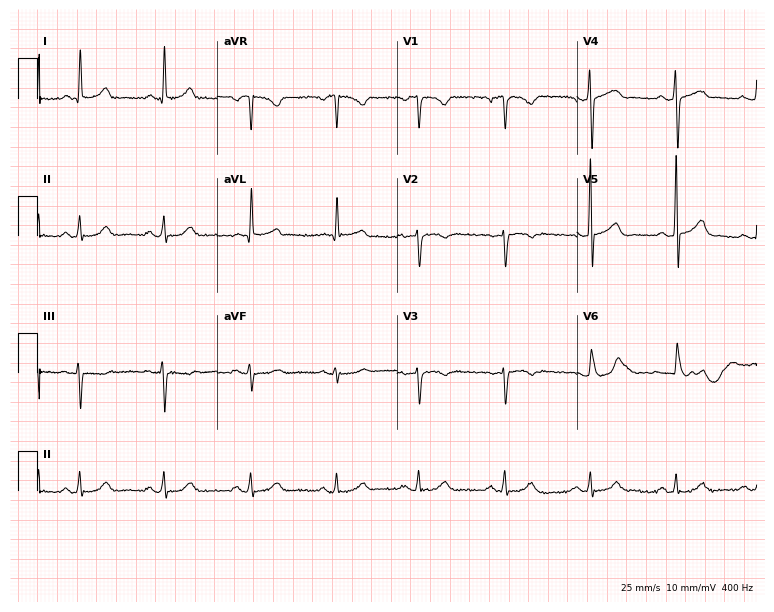
ECG — a male patient, 63 years old. Screened for six findings — first-degree AV block, right bundle branch block, left bundle branch block, sinus bradycardia, atrial fibrillation, sinus tachycardia — none is recorded. Only these six findings were labelled.